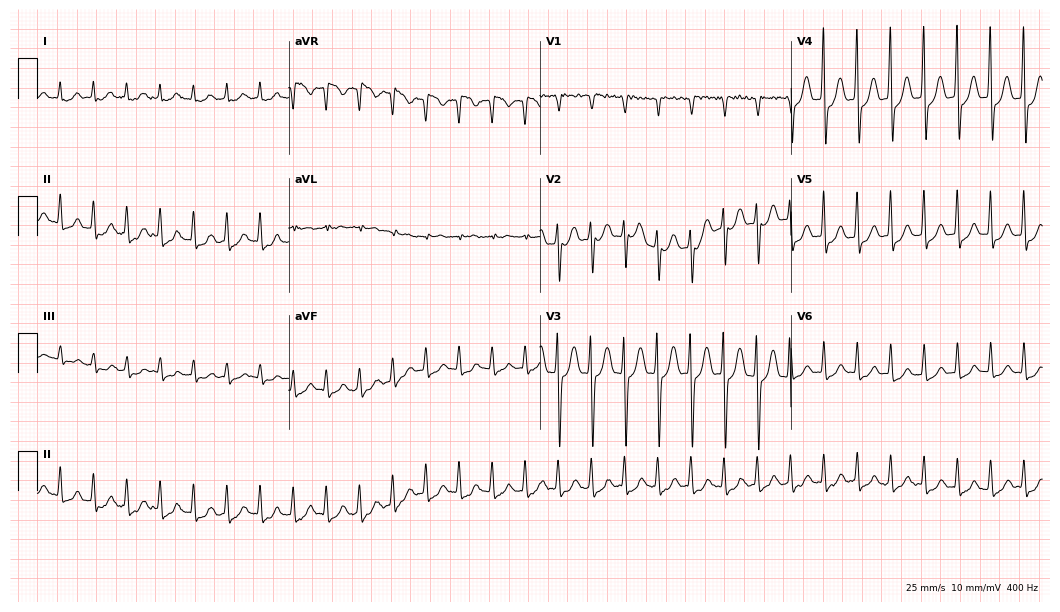
ECG (10.2-second recording at 400 Hz) — a woman, 44 years old. Findings include sinus tachycardia (a sinus rate of 100 beats per minute or more).